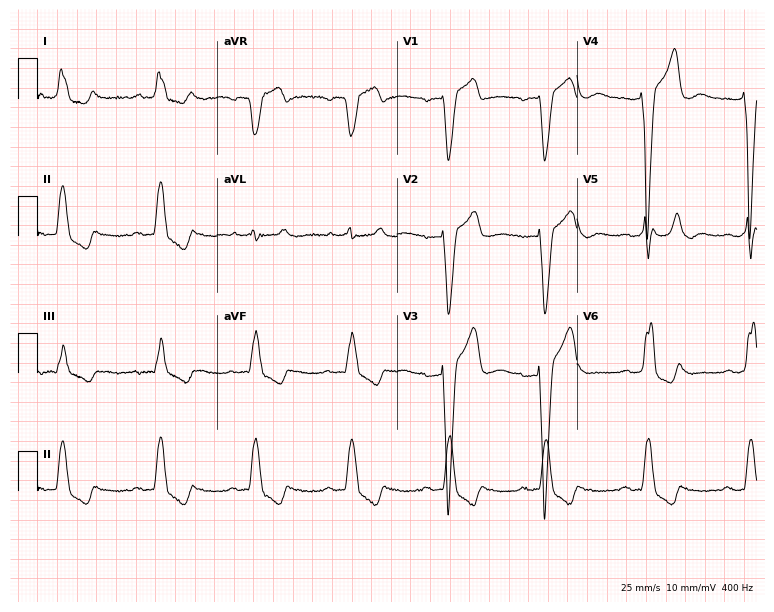
12-lead ECG from a 76-year-old woman. Shows left bundle branch block.